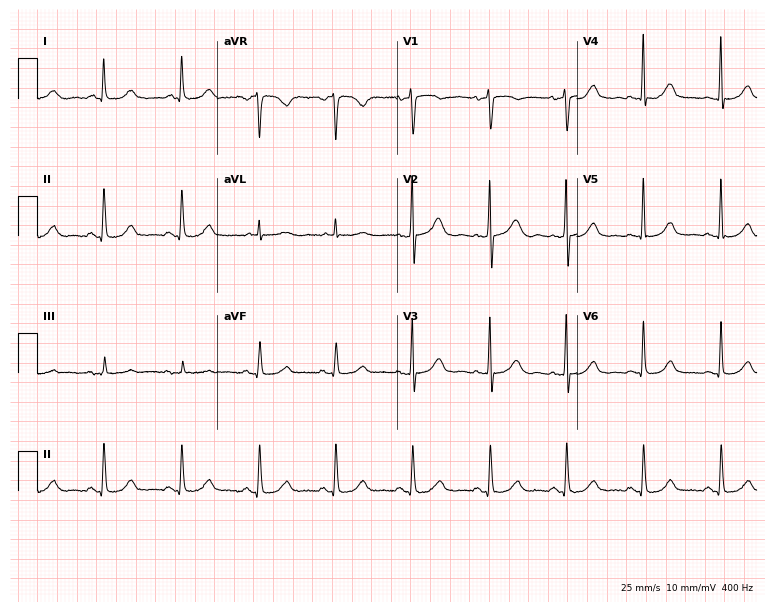
Standard 12-lead ECG recorded from a female, 57 years old. Read as a normal ECG.